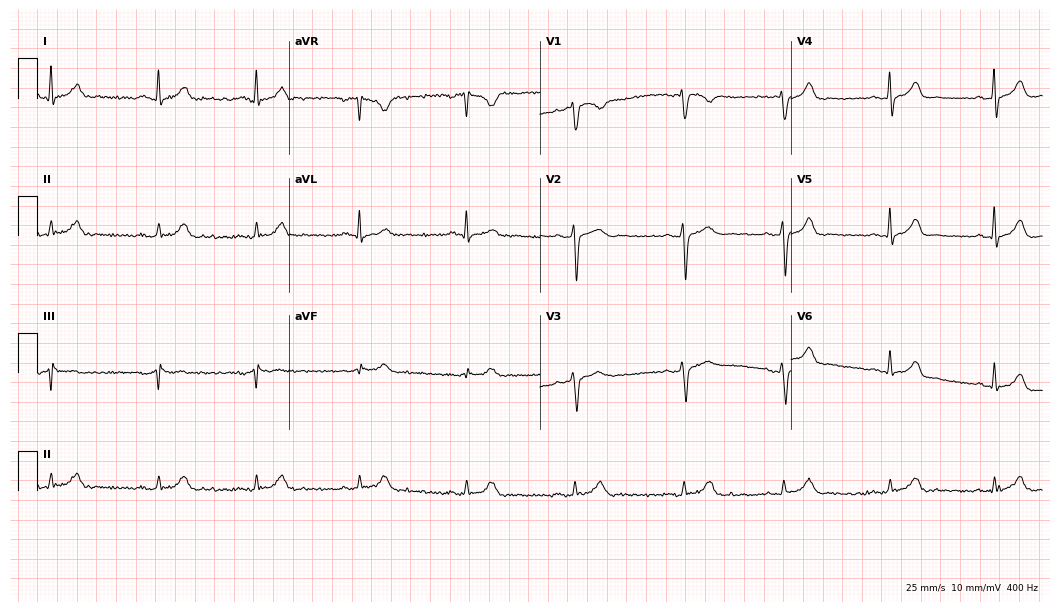
Standard 12-lead ECG recorded from a man, 35 years old (10.2-second recording at 400 Hz). None of these six findings is recorded: first-degree AV block, right bundle branch block, left bundle branch block, sinus bradycardia, atrial fibrillation, sinus tachycardia. Findings outside these six are not listed.